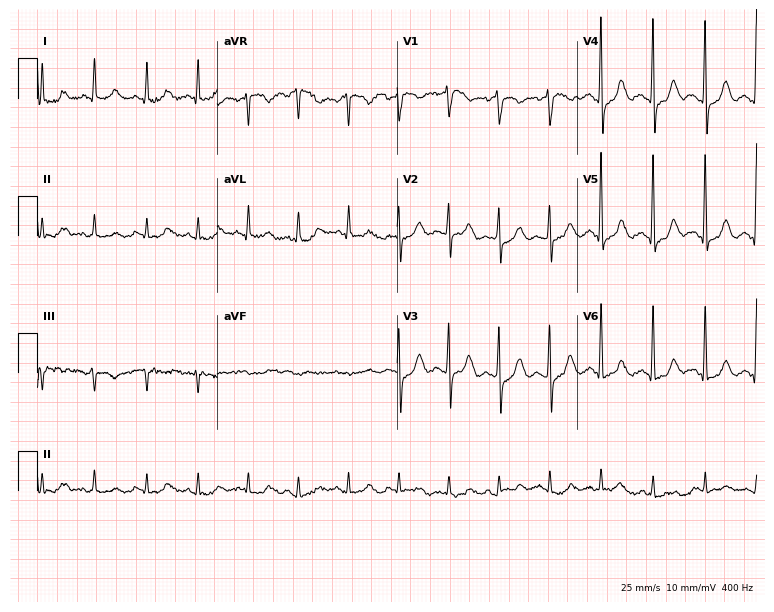
12-lead ECG from a 57-year-old woman. Shows sinus tachycardia (a sinus rate of 100 beats per minute or more).